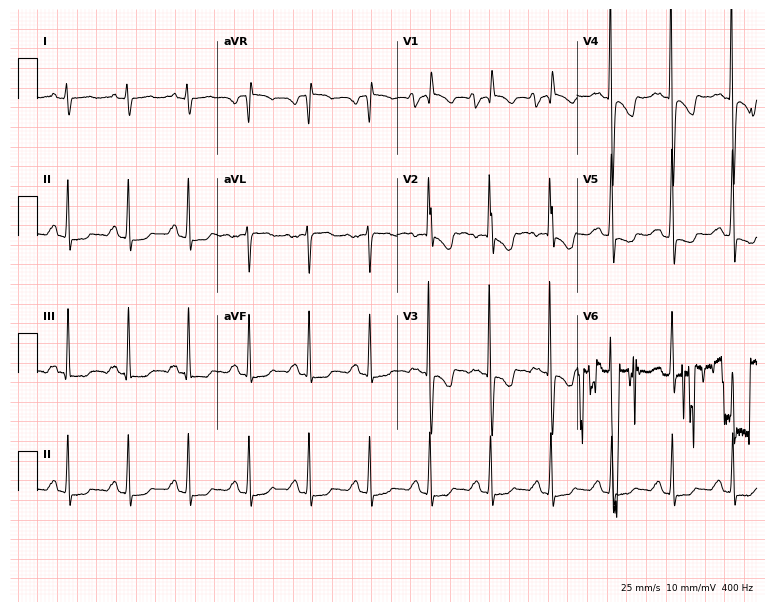
12-lead ECG (7.3-second recording at 400 Hz) from an 18-year-old female patient. Screened for six findings — first-degree AV block, right bundle branch block, left bundle branch block, sinus bradycardia, atrial fibrillation, sinus tachycardia — none is recorded.